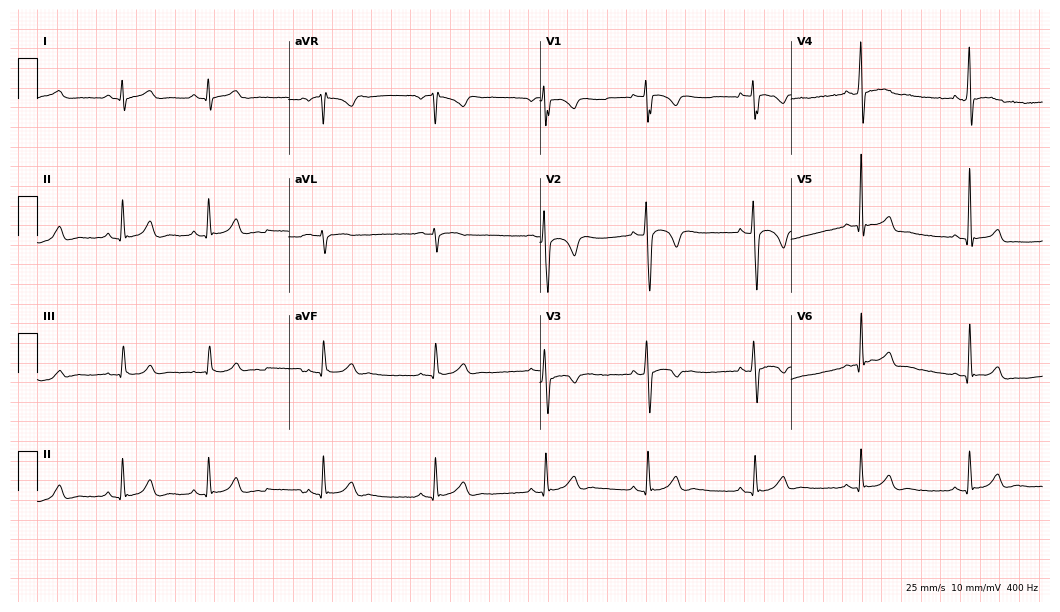
ECG — a man, 22 years old. Screened for six findings — first-degree AV block, right bundle branch block, left bundle branch block, sinus bradycardia, atrial fibrillation, sinus tachycardia — none is recorded. Findings outside these six are not listed.